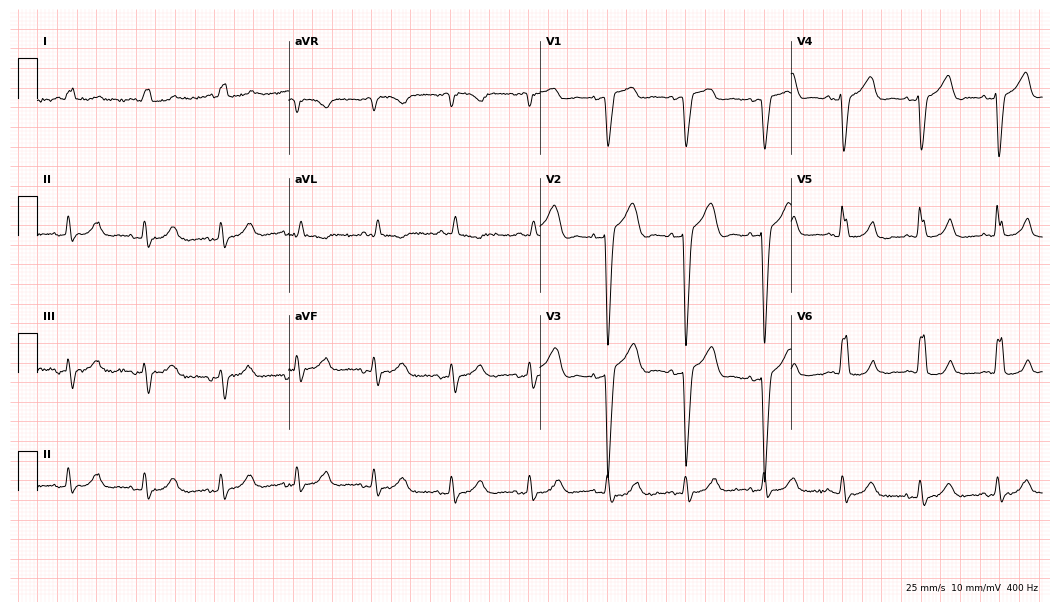
ECG — an 85-year-old female patient. Findings include left bundle branch block.